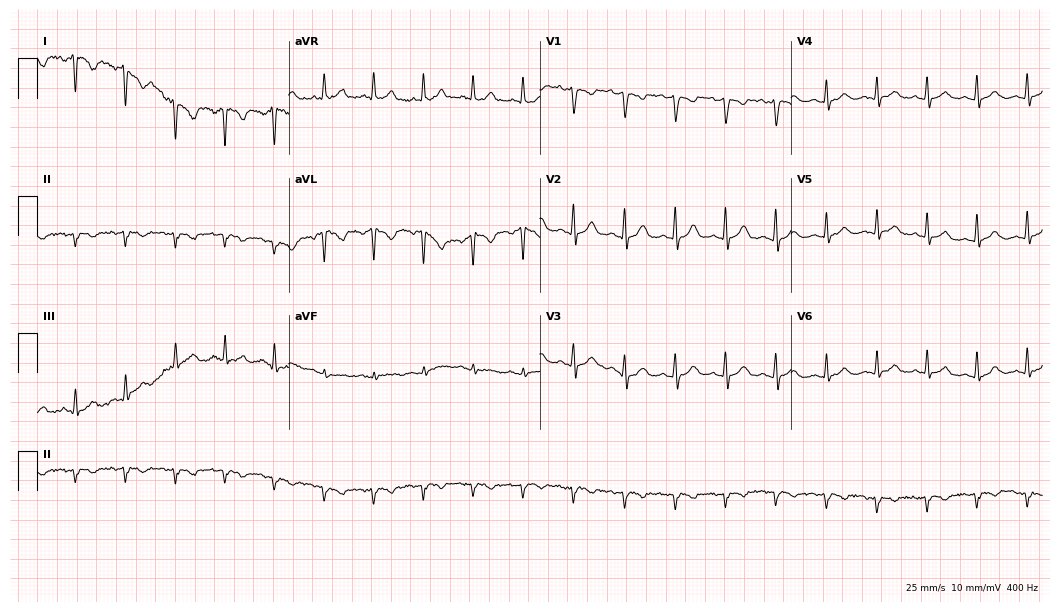
Resting 12-lead electrocardiogram (10.2-second recording at 400 Hz). Patient: a female, 33 years old. The tracing shows sinus tachycardia (a sinus rate of 100 beats per minute or more).